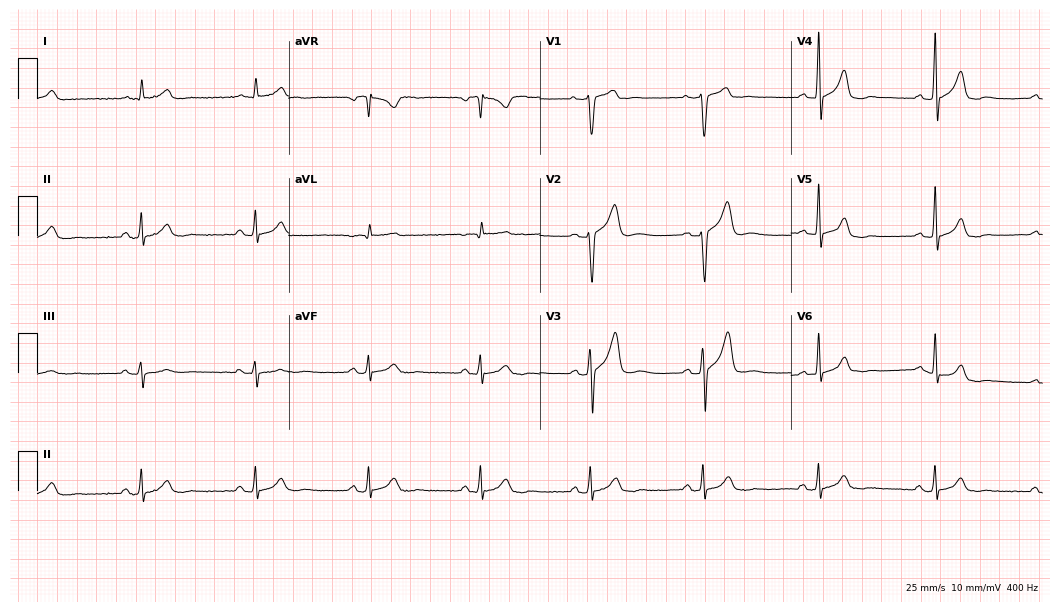
12-lead ECG from a male patient, 53 years old (10.2-second recording at 400 Hz). Recorded interpretation: within normal limits.